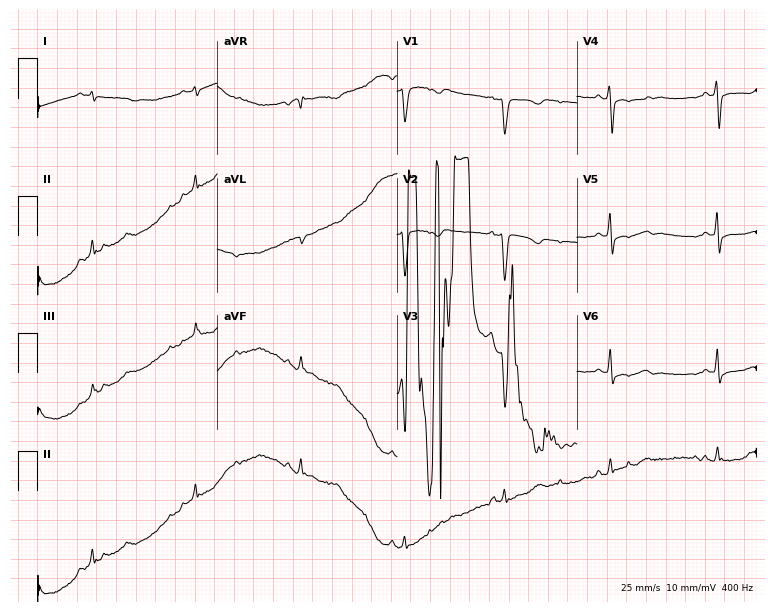
Standard 12-lead ECG recorded from a 27-year-old female patient. None of these six findings is recorded: first-degree AV block, right bundle branch block, left bundle branch block, sinus bradycardia, atrial fibrillation, sinus tachycardia. Other findings, if any, are not listed.